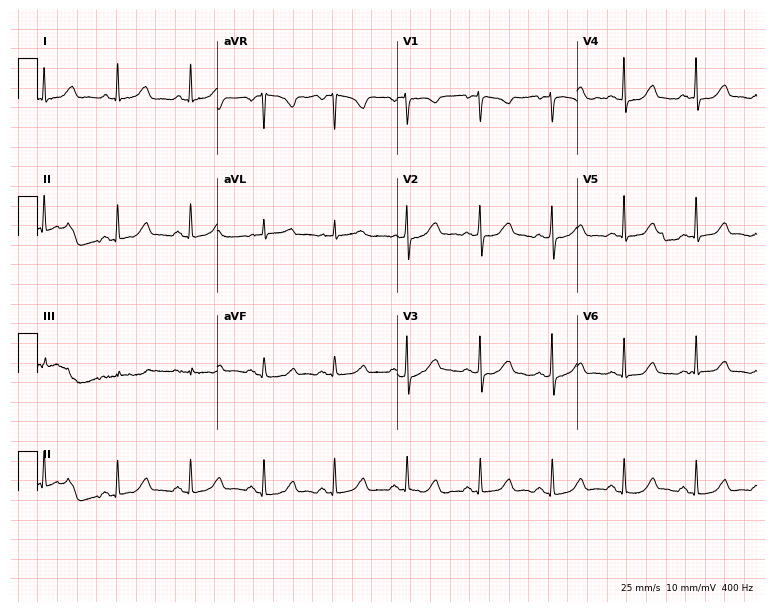
12-lead ECG from a 48-year-old woman. Labelled as a normal ECG.